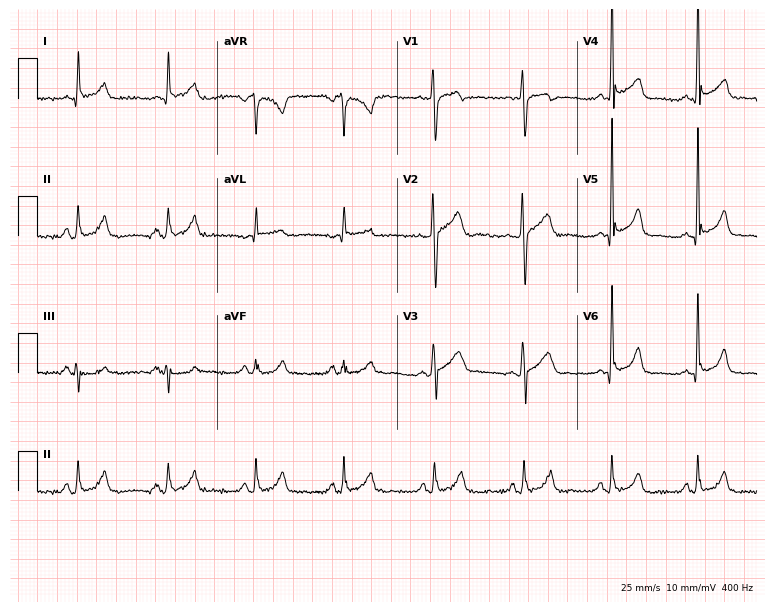
12-lead ECG from a 43-year-old male patient. Recorded interpretation: within normal limits.